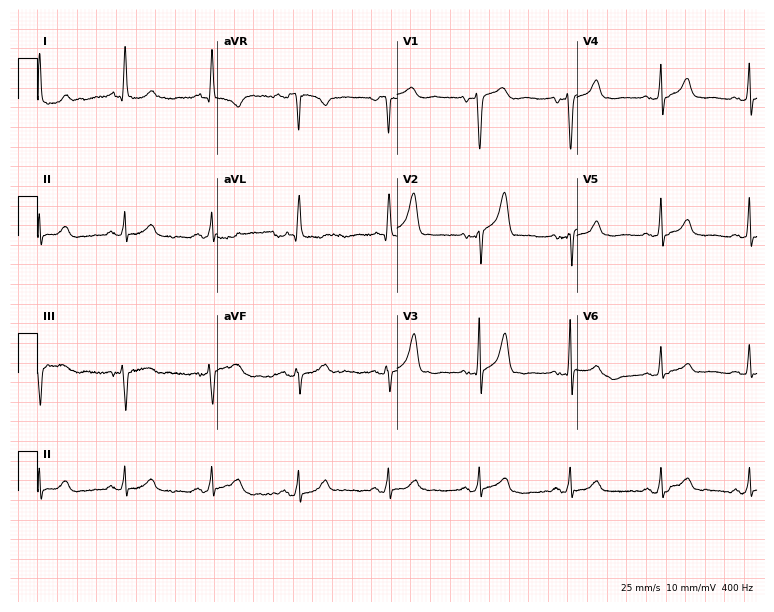
12-lead ECG (7.3-second recording at 400 Hz) from a 78-year-old female patient. Screened for six findings — first-degree AV block, right bundle branch block, left bundle branch block, sinus bradycardia, atrial fibrillation, sinus tachycardia — none is recorded.